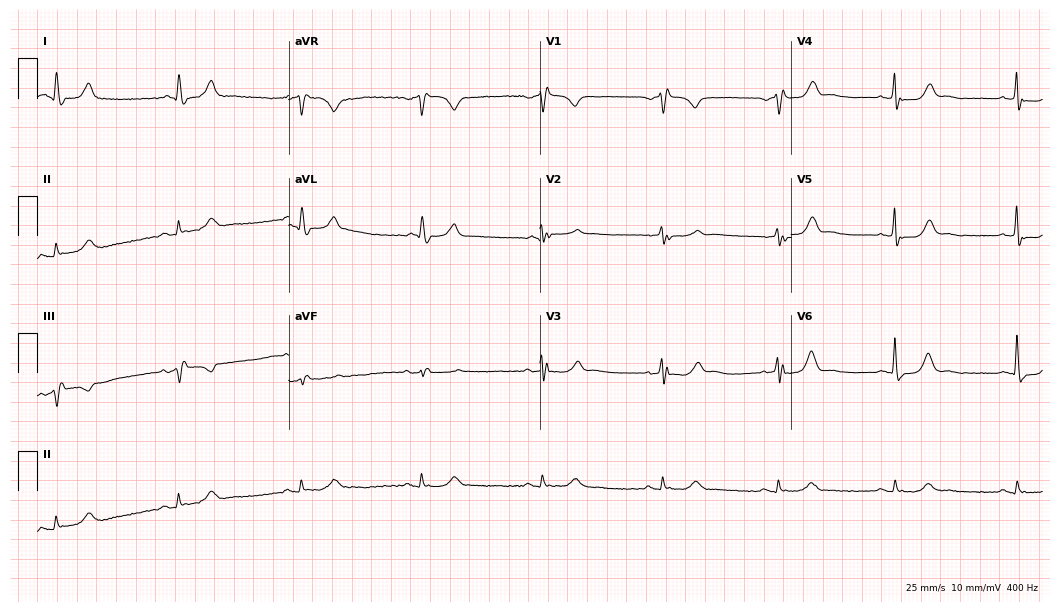
Standard 12-lead ECG recorded from a male patient, 82 years old. None of these six findings is recorded: first-degree AV block, right bundle branch block, left bundle branch block, sinus bradycardia, atrial fibrillation, sinus tachycardia.